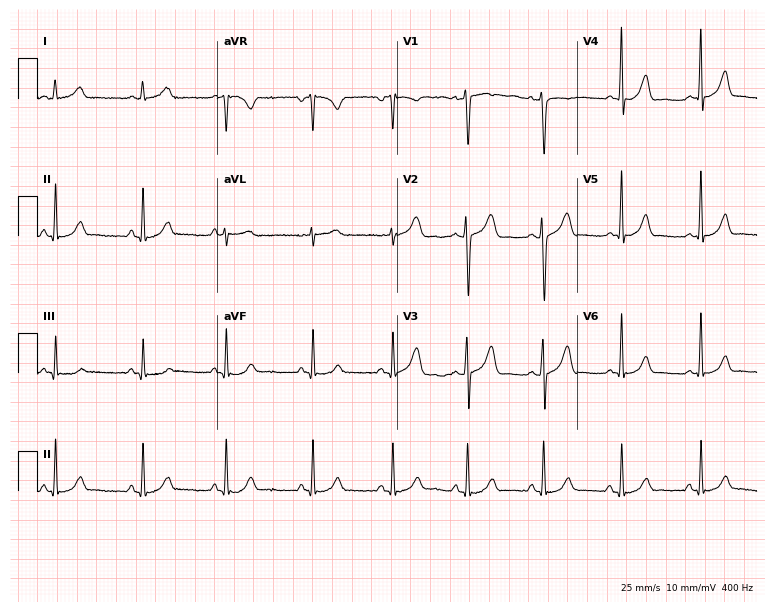
Standard 12-lead ECG recorded from a 30-year-old female patient. None of these six findings is recorded: first-degree AV block, right bundle branch block, left bundle branch block, sinus bradycardia, atrial fibrillation, sinus tachycardia. Only these six findings were labelled.